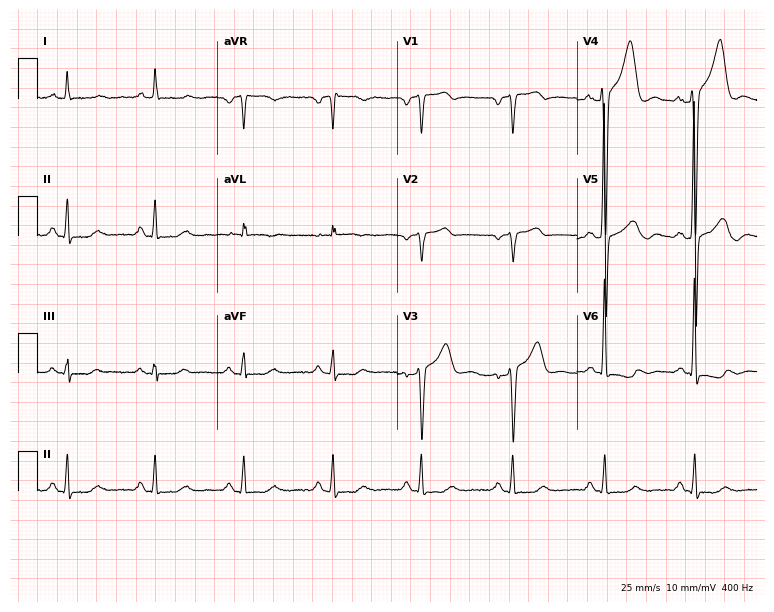
Standard 12-lead ECG recorded from a male, 55 years old (7.3-second recording at 400 Hz). None of these six findings is recorded: first-degree AV block, right bundle branch block (RBBB), left bundle branch block (LBBB), sinus bradycardia, atrial fibrillation (AF), sinus tachycardia.